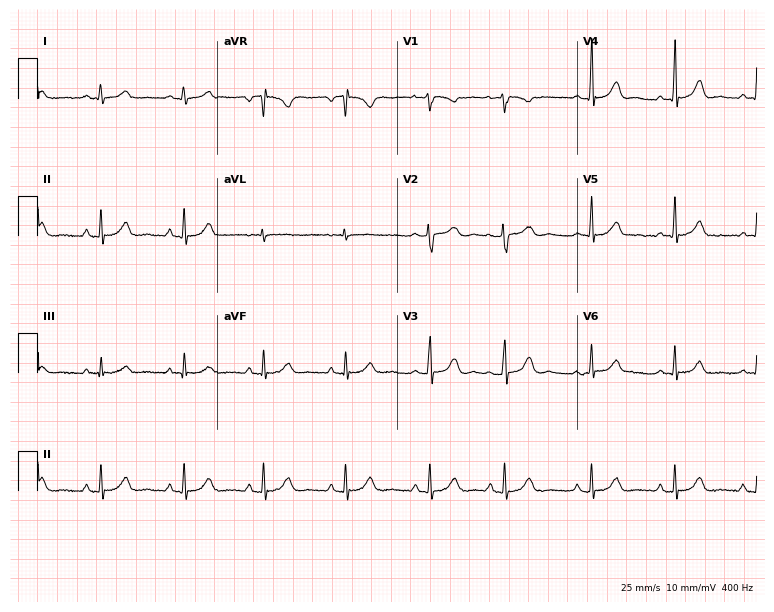
12-lead ECG from a 22-year-old female. Labelled as a normal ECG.